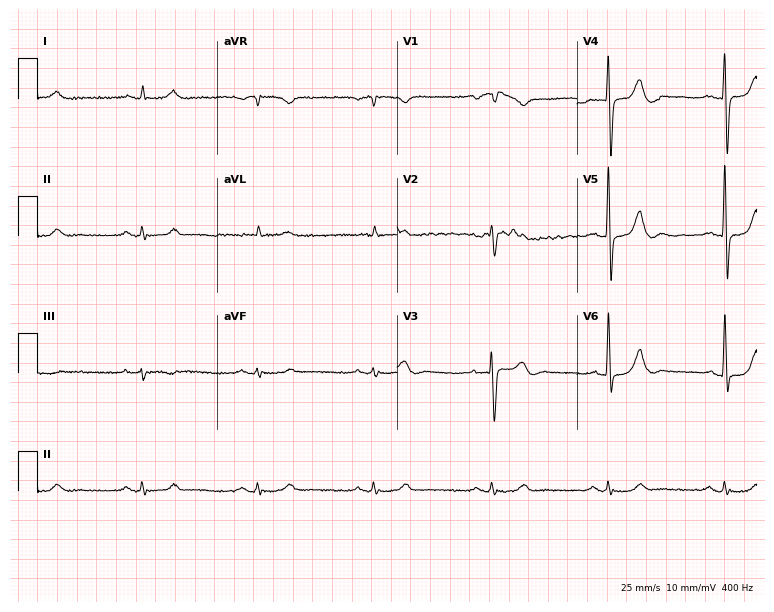
Electrocardiogram (7.3-second recording at 400 Hz), a male patient, 82 years old. Interpretation includes sinus bradycardia (a sinus rate of 50 beats per minute or less).